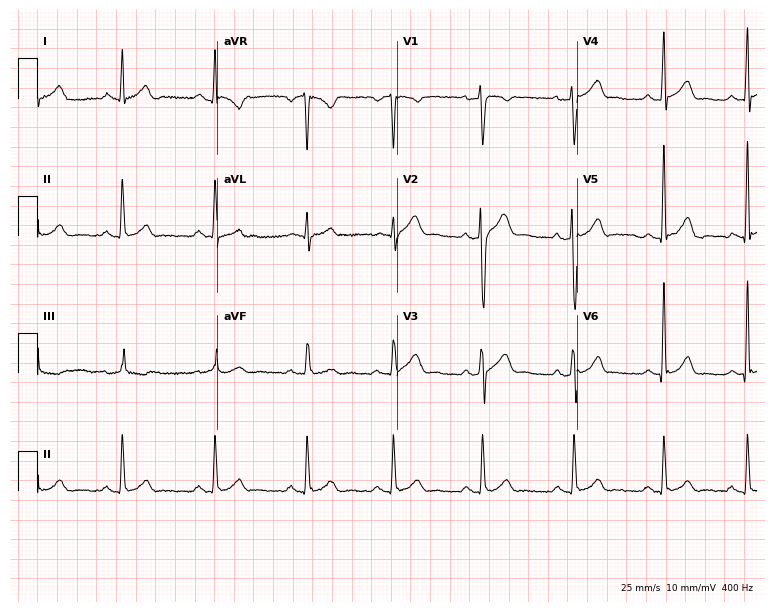
Standard 12-lead ECG recorded from a 32-year-old male. Read as a normal ECG.